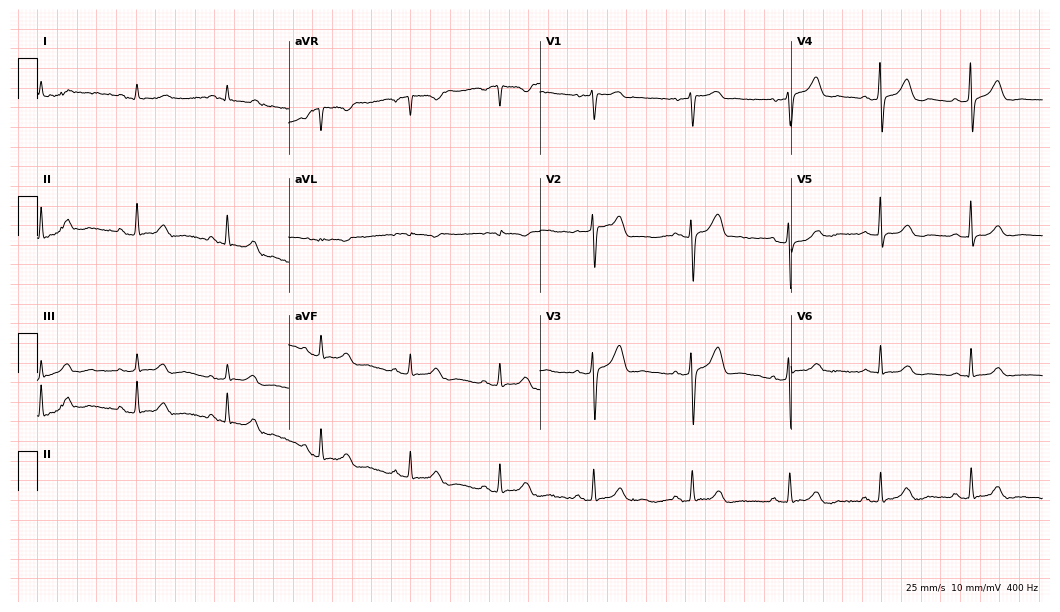
12-lead ECG (10.2-second recording at 400 Hz) from a woman, 51 years old. Labelled as a normal ECG.